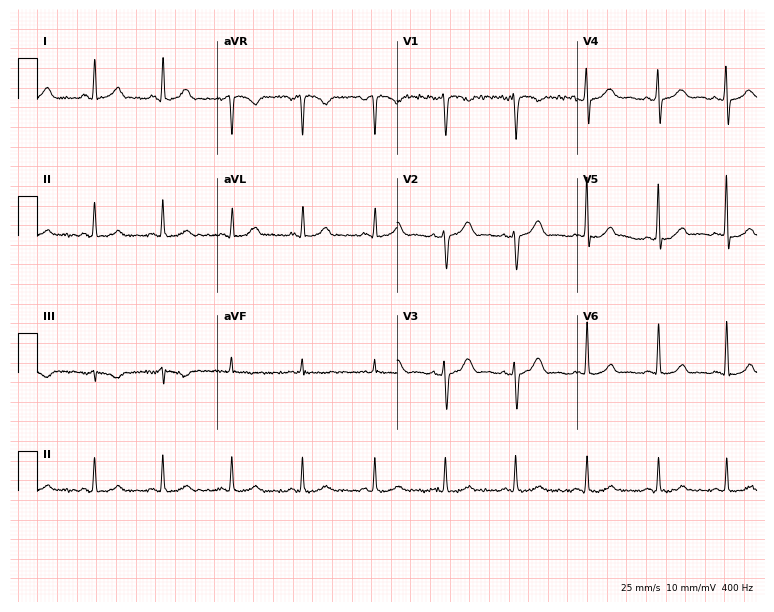
Resting 12-lead electrocardiogram. Patient: a female, 36 years old. Read as a normal ECG.